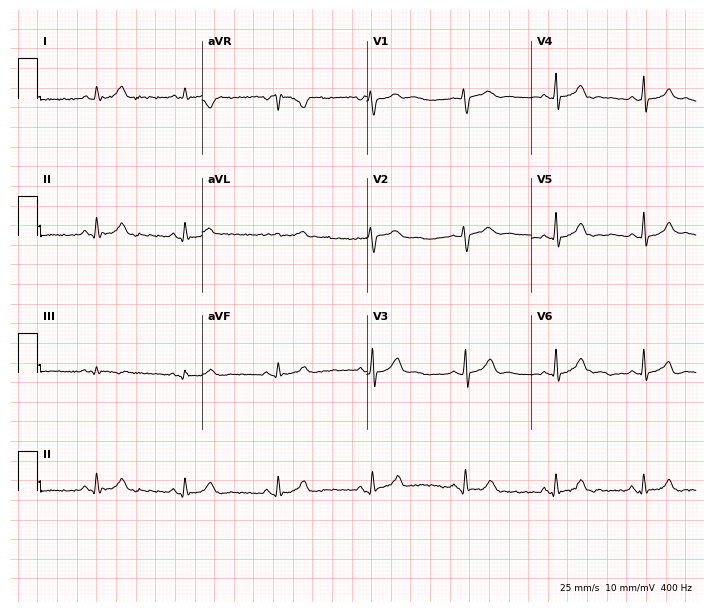
12-lead ECG from a 31-year-old woman (6.7-second recording at 400 Hz). No first-degree AV block, right bundle branch block (RBBB), left bundle branch block (LBBB), sinus bradycardia, atrial fibrillation (AF) or sinus tachycardia recorded for this tracing.